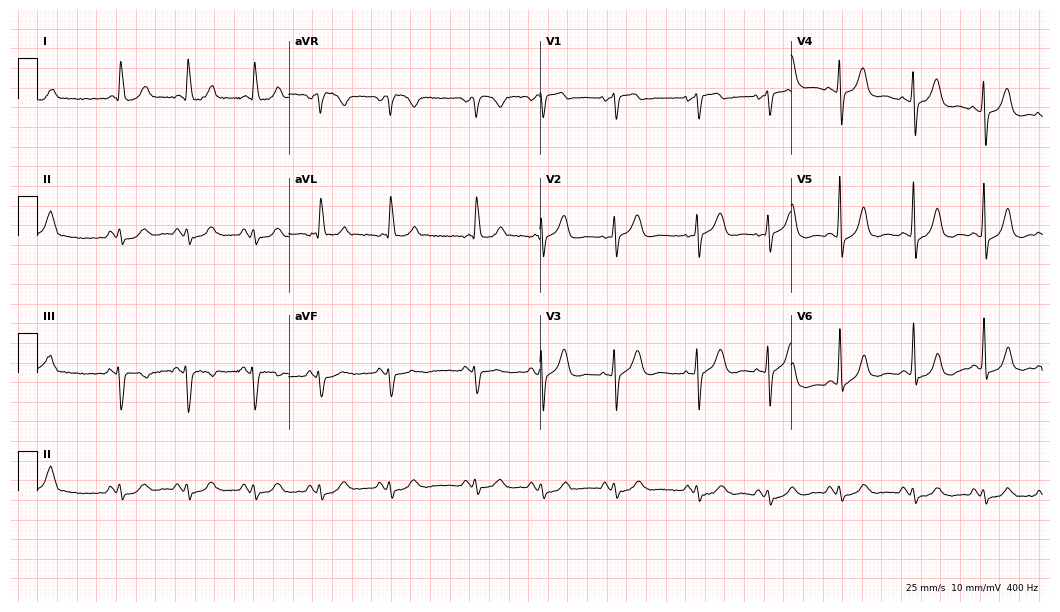
Standard 12-lead ECG recorded from an 81-year-old woman (10.2-second recording at 400 Hz). Read as a normal ECG.